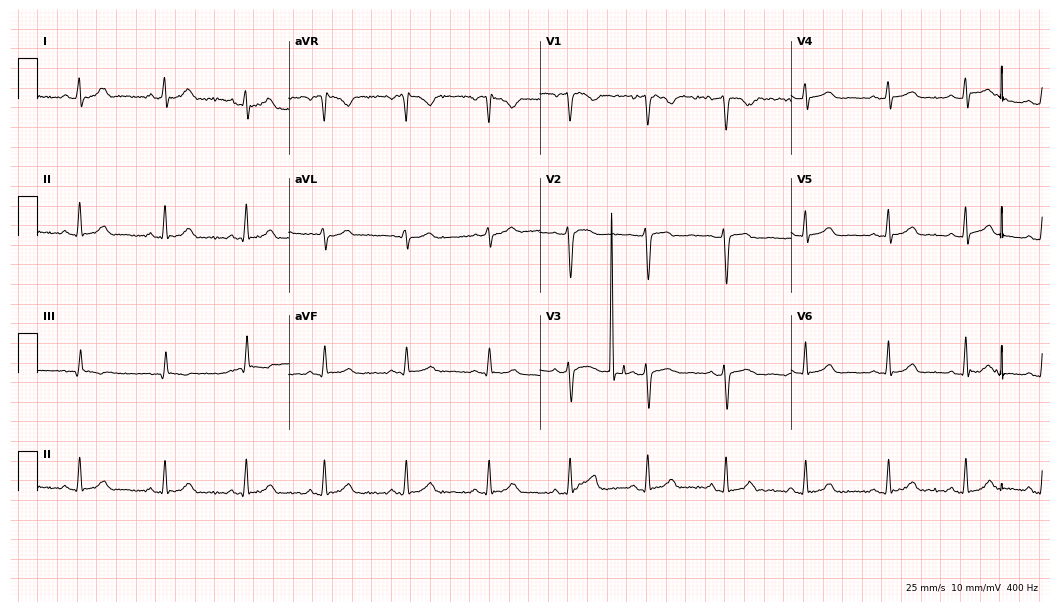
Resting 12-lead electrocardiogram. Patient: a female, 42 years old. Read as a normal ECG.